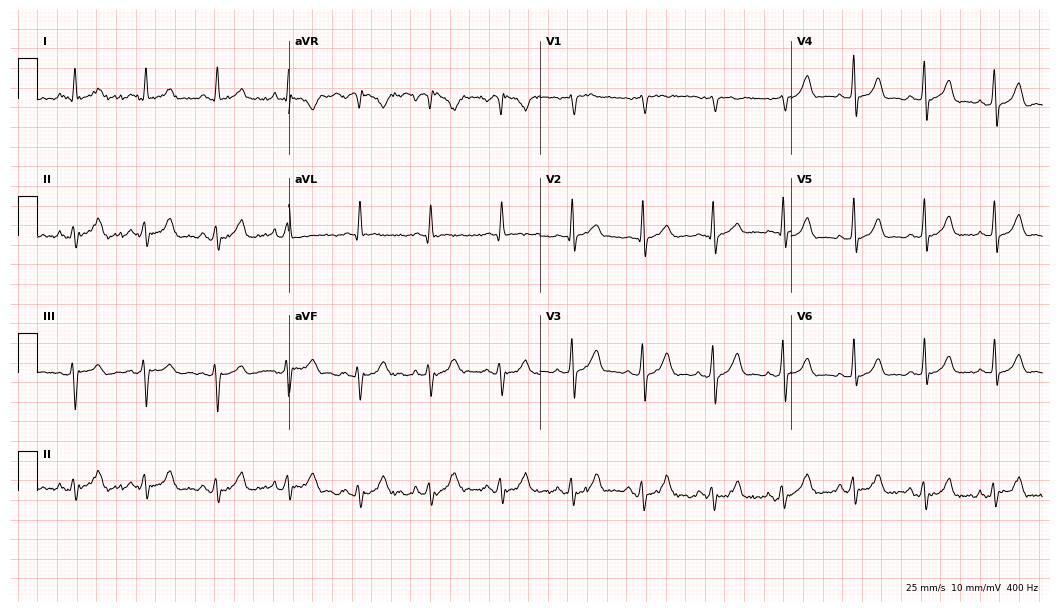
12-lead ECG from a 56-year-old male patient (10.2-second recording at 400 Hz). Recorded interpretation: within normal limits.